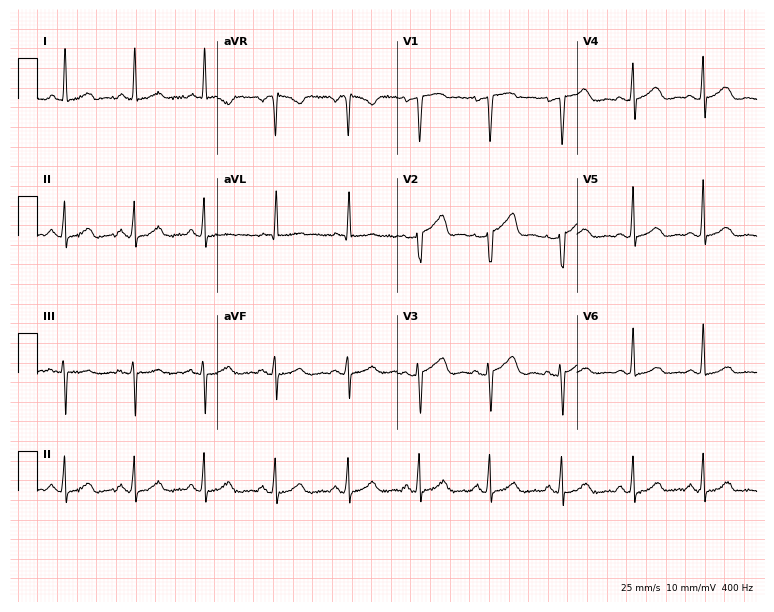
12-lead ECG (7.3-second recording at 400 Hz) from a 34-year-old female. Labelled as a normal ECG.